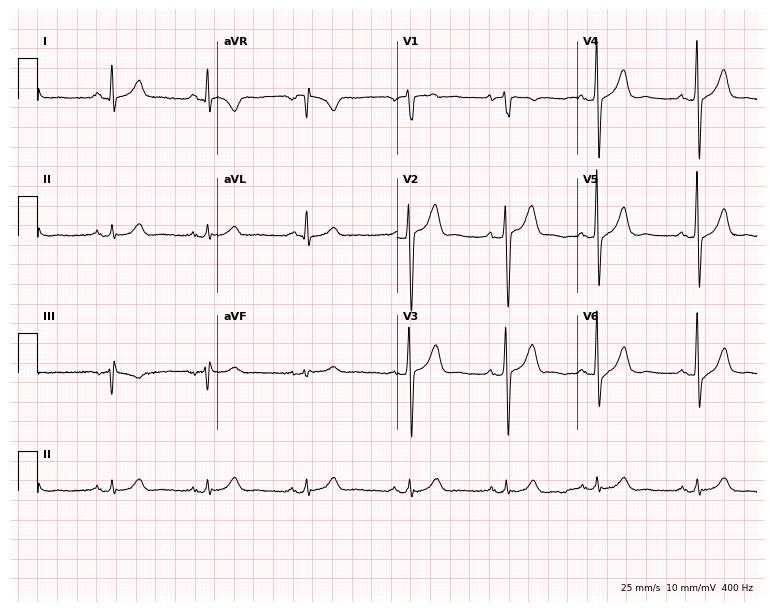
12-lead ECG from a 41-year-old male. No first-degree AV block, right bundle branch block, left bundle branch block, sinus bradycardia, atrial fibrillation or sinus tachycardia recorded for this tracing.